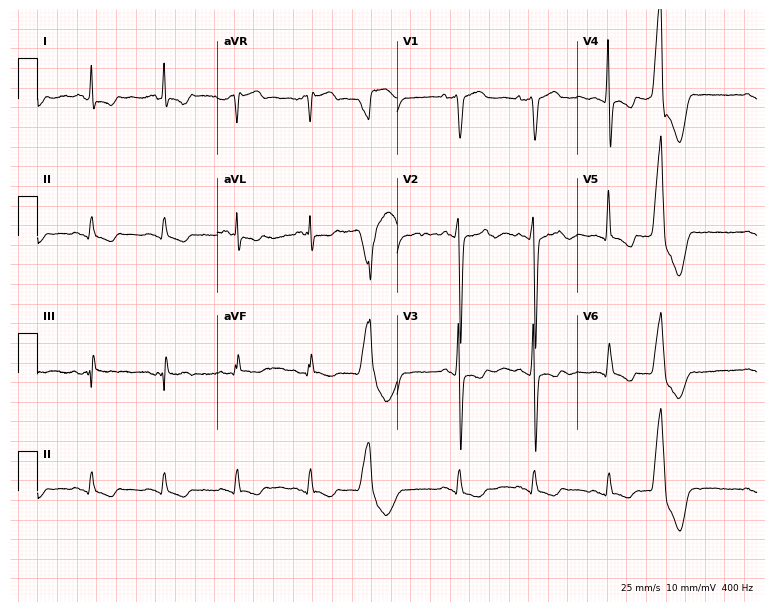
Resting 12-lead electrocardiogram. Patient: a male, 46 years old. None of these six findings is recorded: first-degree AV block, right bundle branch block, left bundle branch block, sinus bradycardia, atrial fibrillation, sinus tachycardia. Only these six findings were labelled.